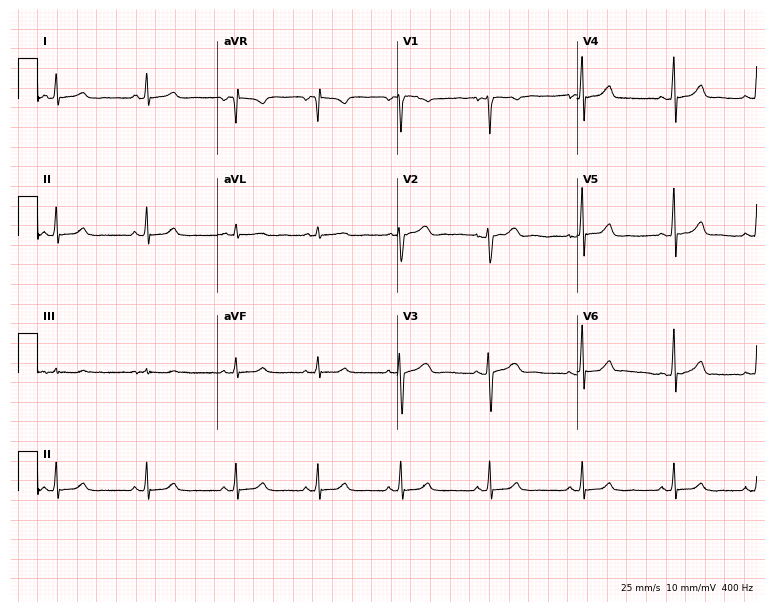
Electrocardiogram, a 36-year-old woman. Overall reading on record: normal ECG.